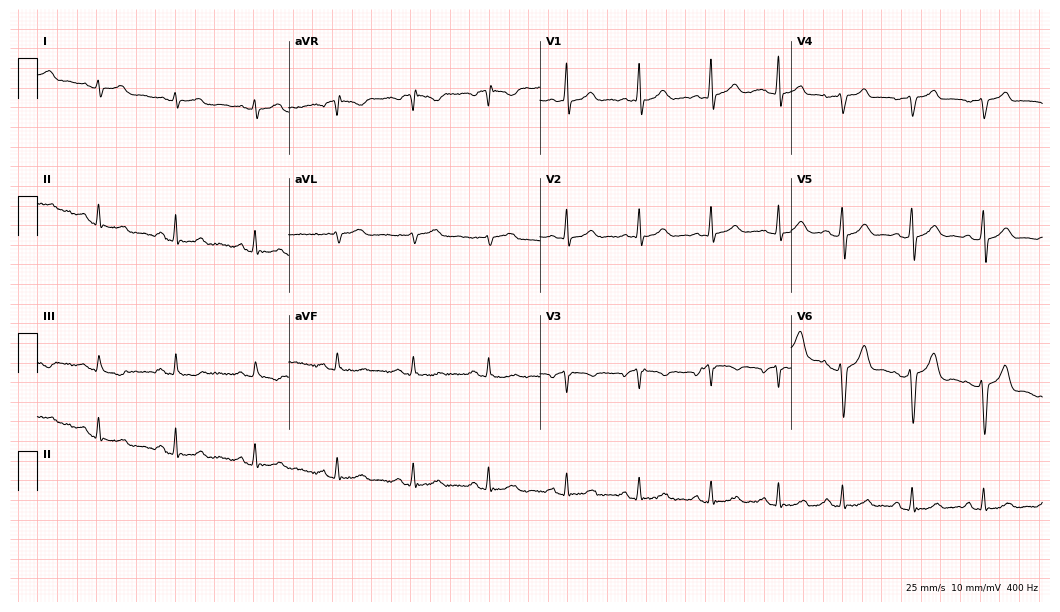
12-lead ECG (10.2-second recording at 400 Hz) from a female patient, 40 years old. Labelled as a normal ECG.